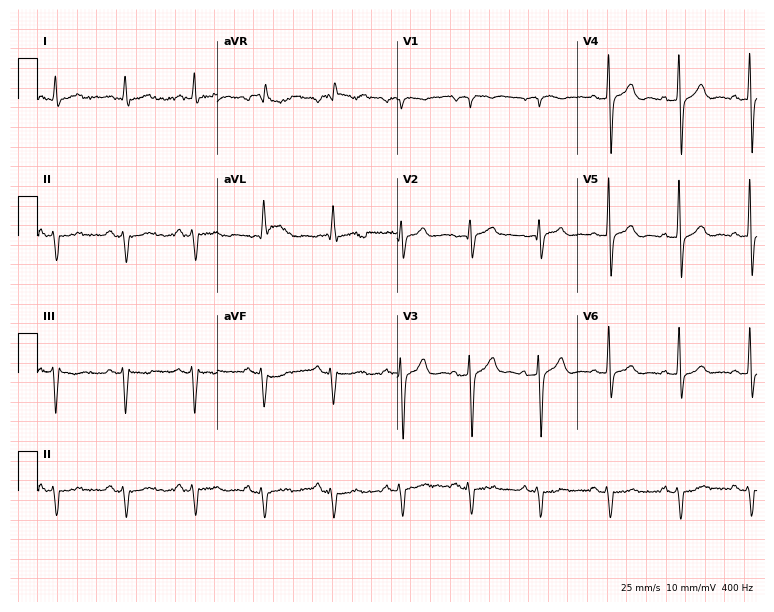
ECG (7.3-second recording at 400 Hz) — a male patient, 63 years old. Screened for six findings — first-degree AV block, right bundle branch block (RBBB), left bundle branch block (LBBB), sinus bradycardia, atrial fibrillation (AF), sinus tachycardia — none is recorded.